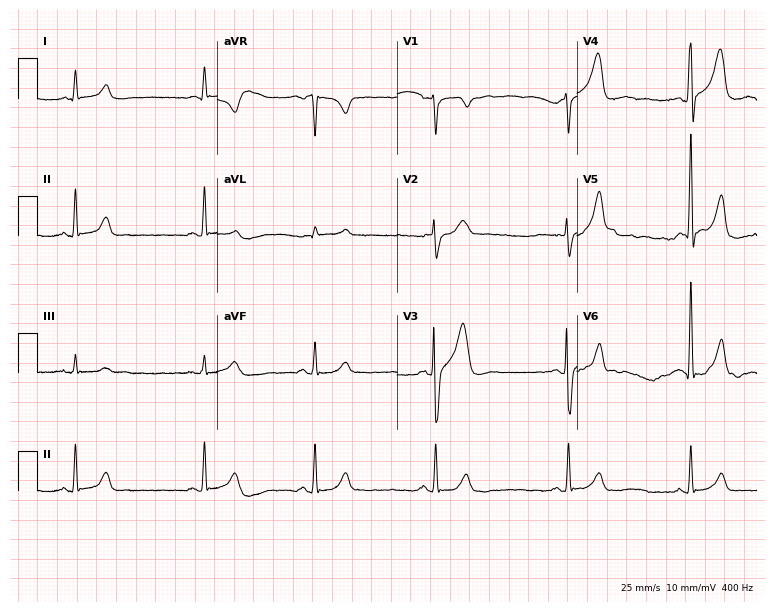
Electrocardiogram, a male, 48 years old. Of the six screened findings (first-degree AV block, right bundle branch block, left bundle branch block, sinus bradycardia, atrial fibrillation, sinus tachycardia), none is recorded. Only these six findings were labelled.